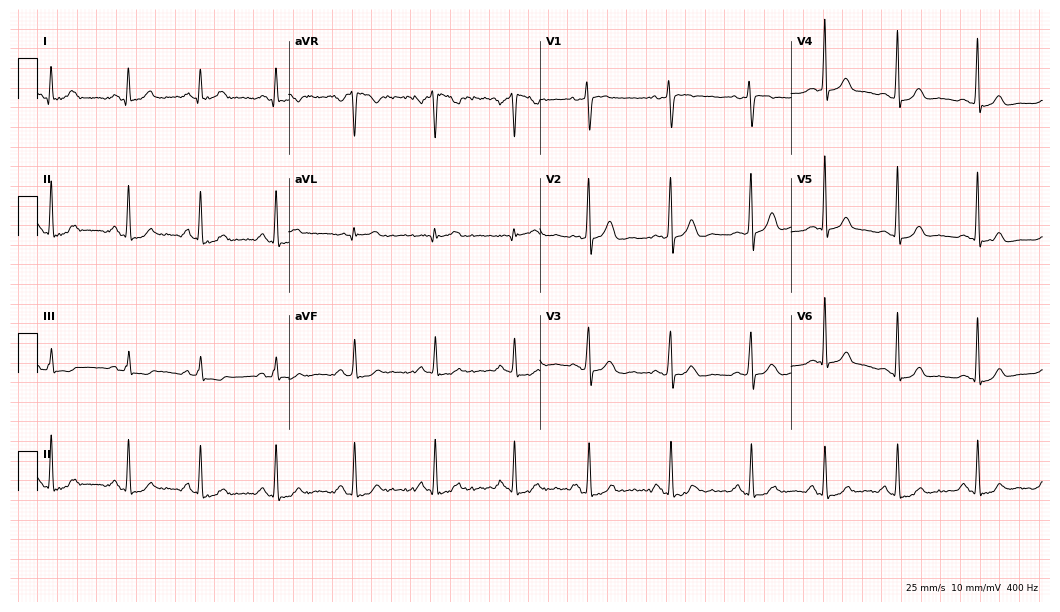
12-lead ECG from a 36-year-old female. Labelled as a normal ECG.